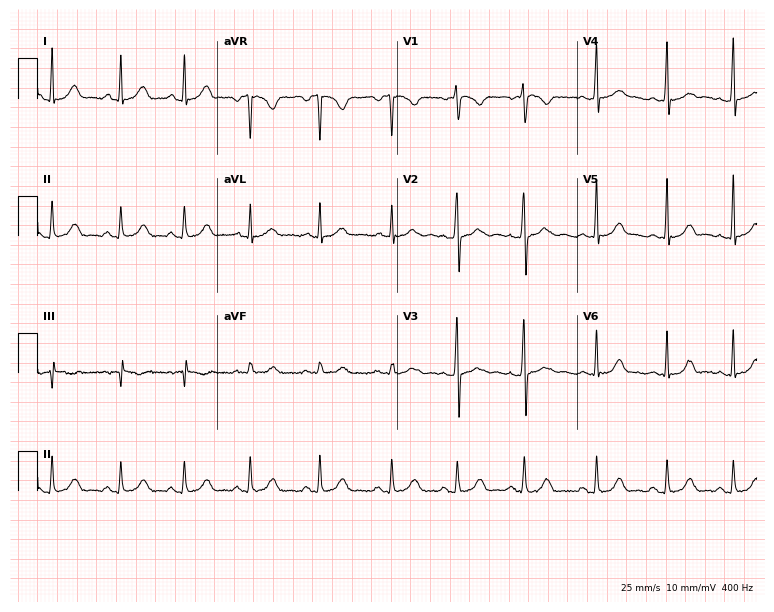
12-lead ECG from a woman, 18 years old (7.3-second recording at 400 Hz). Recorded interpretation: within normal limits.